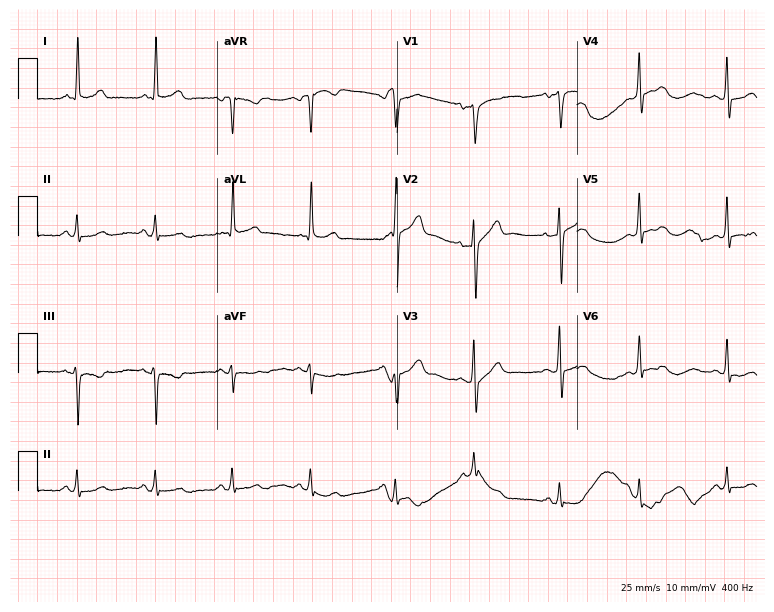
ECG — a 62-year-old male. Screened for six findings — first-degree AV block, right bundle branch block, left bundle branch block, sinus bradycardia, atrial fibrillation, sinus tachycardia — none is recorded. Findings outside these six are not listed.